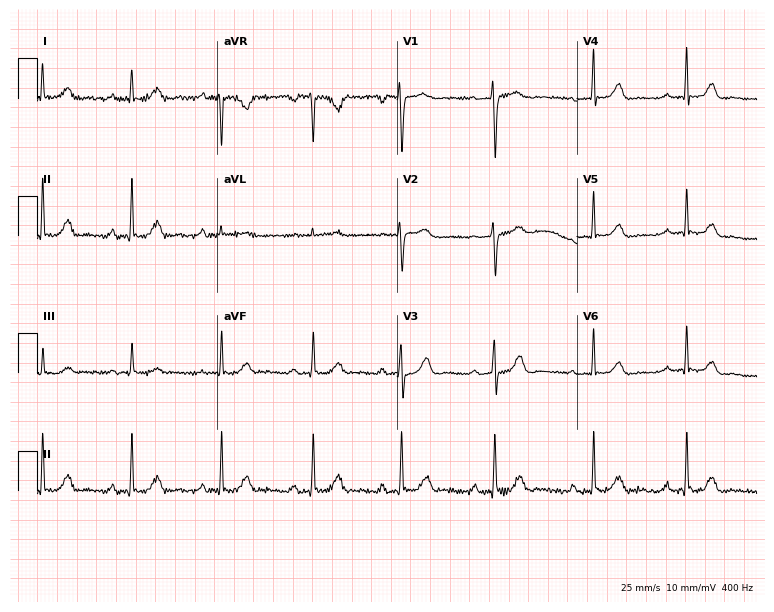
Resting 12-lead electrocardiogram. Patient: a female, 59 years old. Read as a normal ECG.